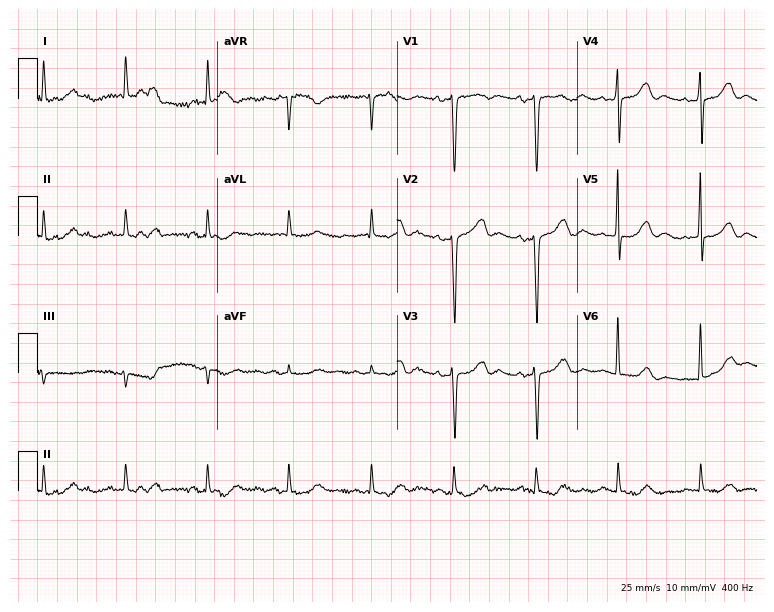
12-lead ECG (7.3-second recording at 400 Hz) from a female, 76 years old. Screened for six findings — first-degree AV block, right bundle branch block, left bundle branch block, sinus bradycardia, atrial fibrillation, sinus tachycardia — none is recorded. Findings outside these six are not listed.